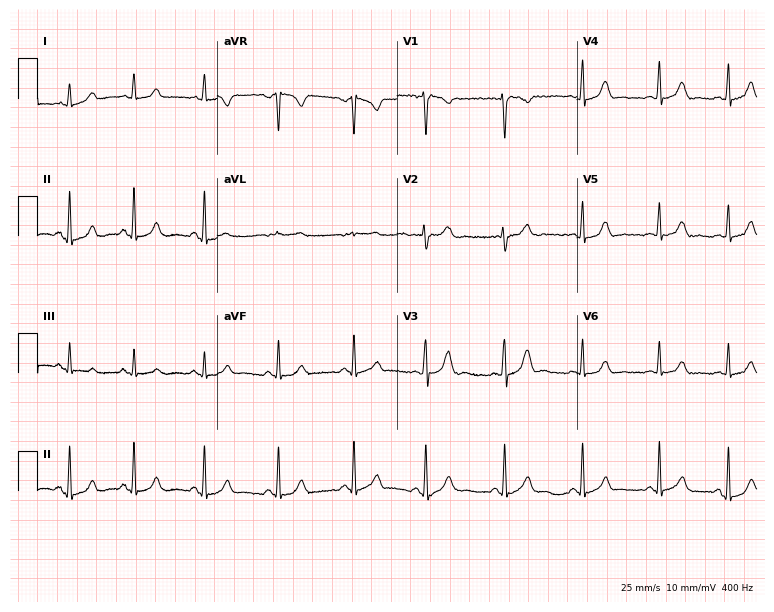
Resting 12-lead electrocardiogram. Patient: a 25-year-old woman. Read as a normal ECG.